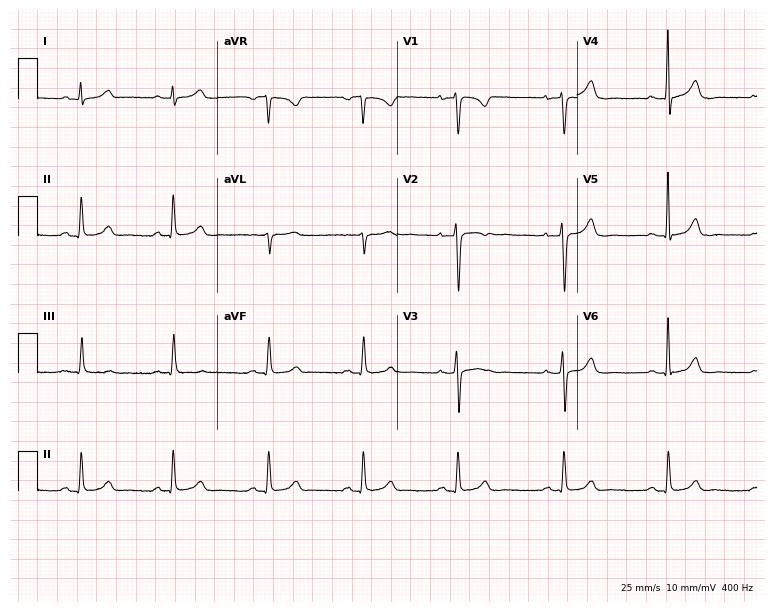
ECG (7.3-second recording at 400 Hz) — a woman, 31 years old. Labelled as a normal ECG.